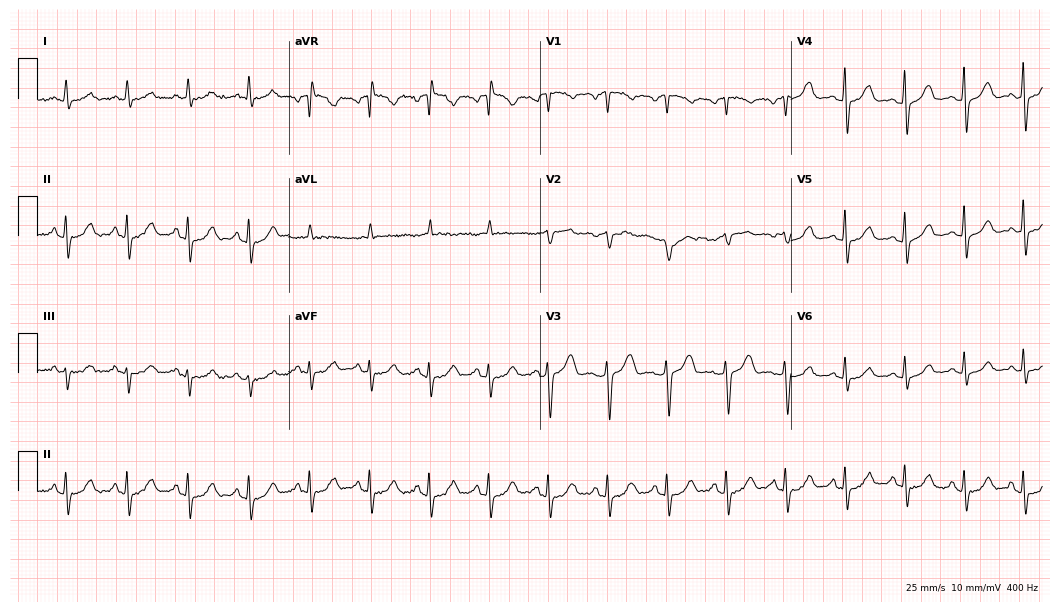
Electrocardiogram, a female patient, 62 years old. Overall reading on record: normal ECG.